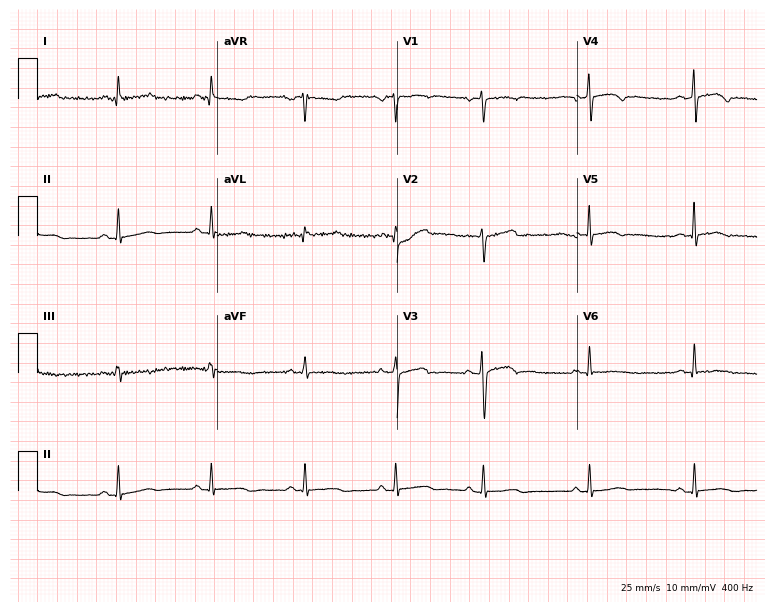
ECG — a woman, 43 years old. Screened for six findings — first-degree AV block, right bundle branch block, left bundle branch block, sinus bradycardia, atrial fibrillation, sinus tachycardia — none is recorded. Only these six findings were labelled.